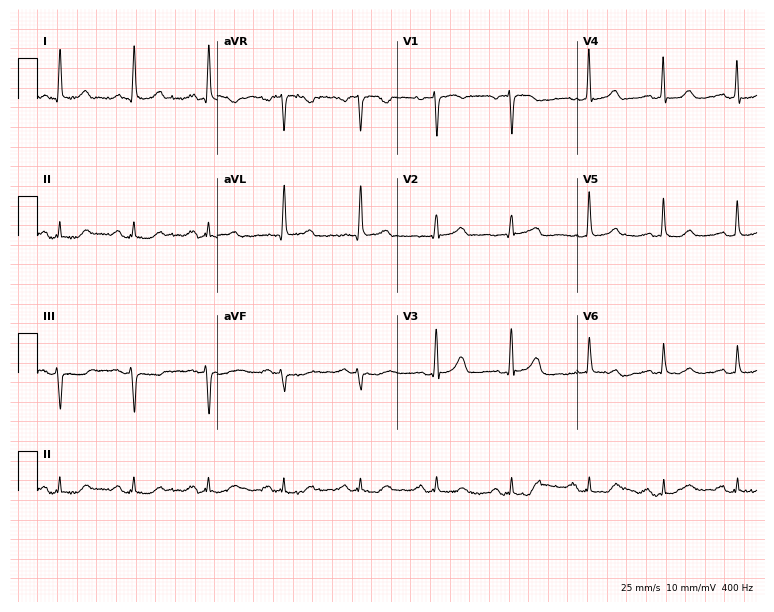
12-lead ECG from a female, 72 years old (7.3-second recording at 400 Hz). No first-degree AV block, right bundle branch block (RBBB), left bundle branch block (LBBB), sinus bradycardia, atrial fibrillation (AF) or sinus tachycardia recorded for this tracing. Findings outside these six are not listed.